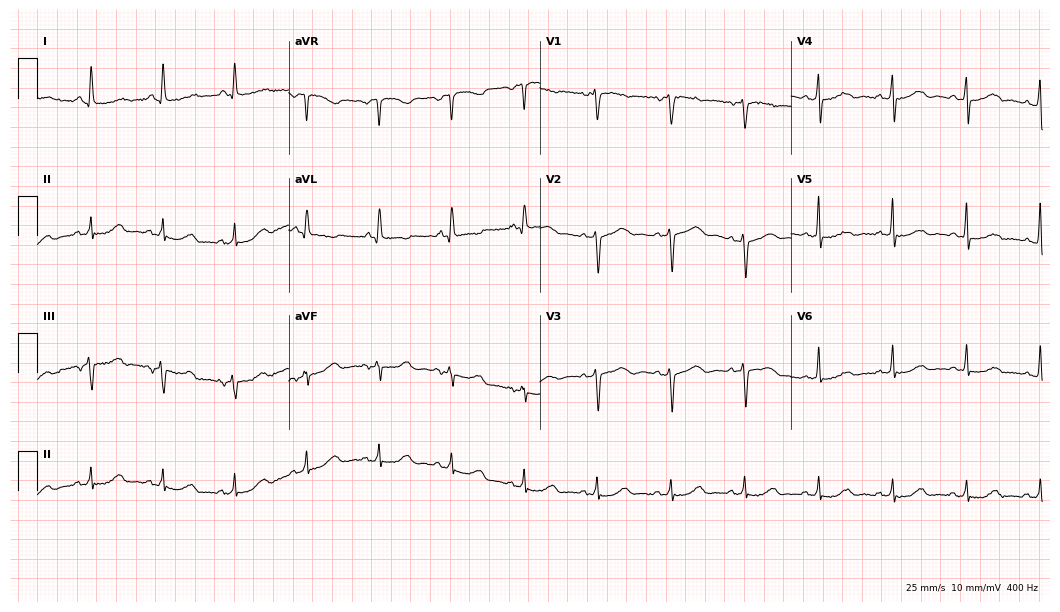
Electrocardiogram (10.2-second recording at 400 Hz), a woman, 69 years old. Of the six screened findings (first-degree AV block, right bundle branch block, left bundle branch block, sinus bradycardia, atrial fibrillation, sinus tachycardia), none is recorded. Findings outside these six are not listed.